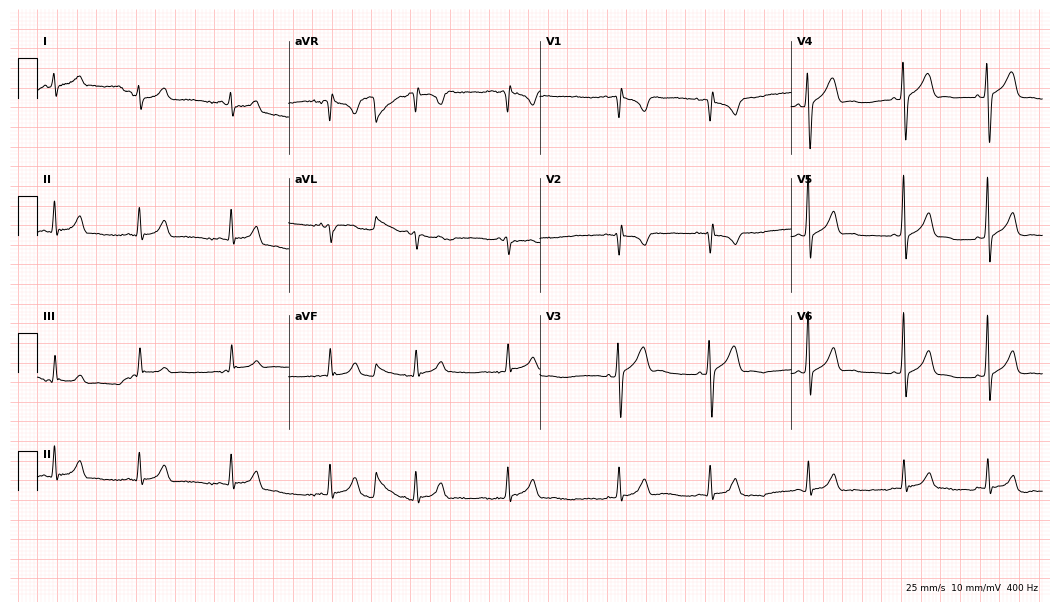
Standard 12-lead ECG recorded from a 17-year-old male (10.2-second recording at 400 Hz). None of these six findings is recorded: first-degree AV block, right bundle branch block (RBBB), left bundle branch block (LBBB), sinus bradycardia, atrial fibrillation (AF), sinus tachycardia. Other findings, if any, are not listed.